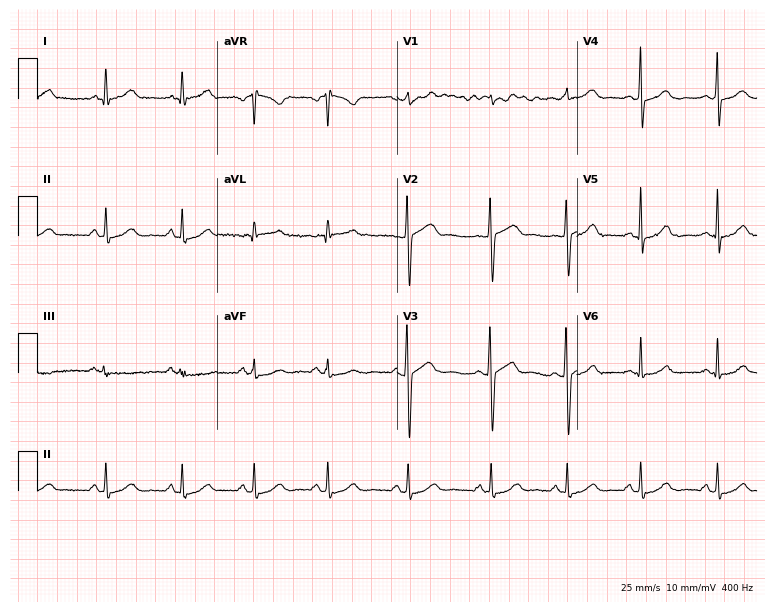
12-lead ECG from a 30-year-old female. Recorded interpretation: within normal limits.